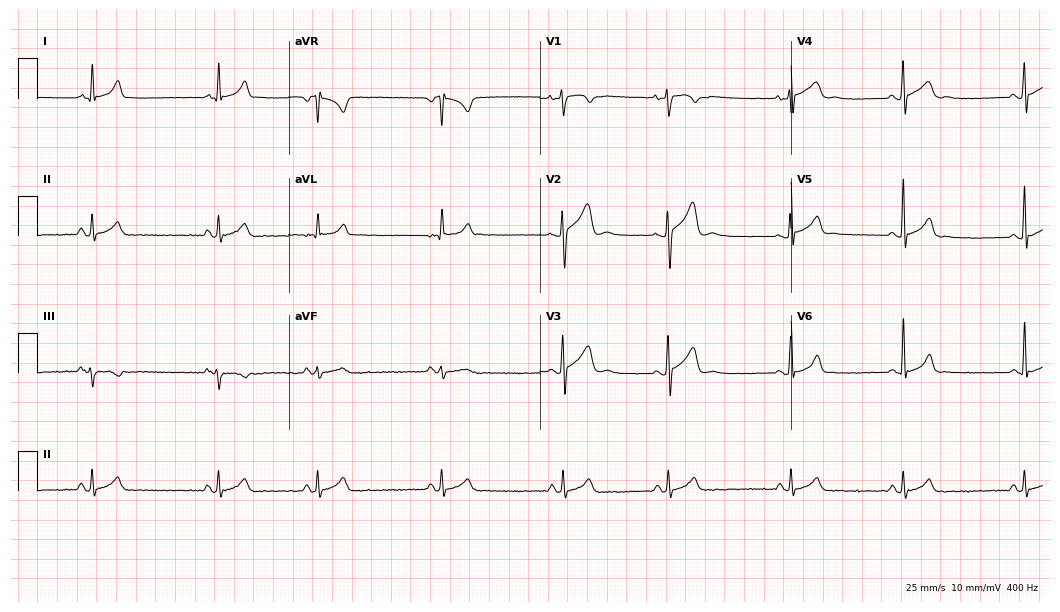
Resting 12-lead electrocardiogram. Patient: a man, 25 years old. None of these six findings is recorded: first-degree AV block, right bundle branch block, left bundle branch block, sinus bradycardia, atrial fibrillation, sinus tachycardia.